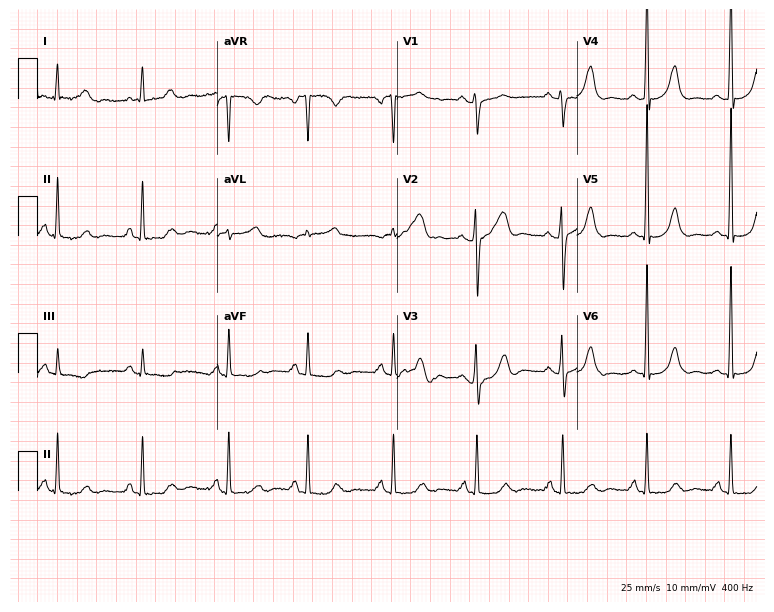
ECG (7.3-second recording at 400 Hz) — a 67-year-old female. Screened for six findings — first-degree AV block, right bundle branch block, left bundle branch block, sinus bradycardia, atrial fibrillation, sinus tachycardia — none is recorded.